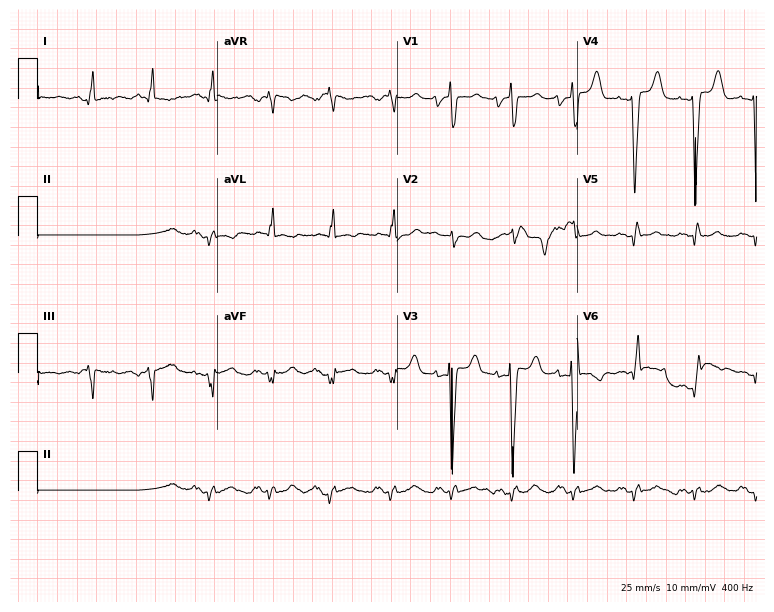
Electrocardiogram, a 39-year-old female patient. Of the six screened findings (first-degree AV block, right bundle branch block, left bundle branch block, sinus bradycardia, atrial fibrillation, sinus tachycardia), none is recorded. Findings outside these six are not listed.